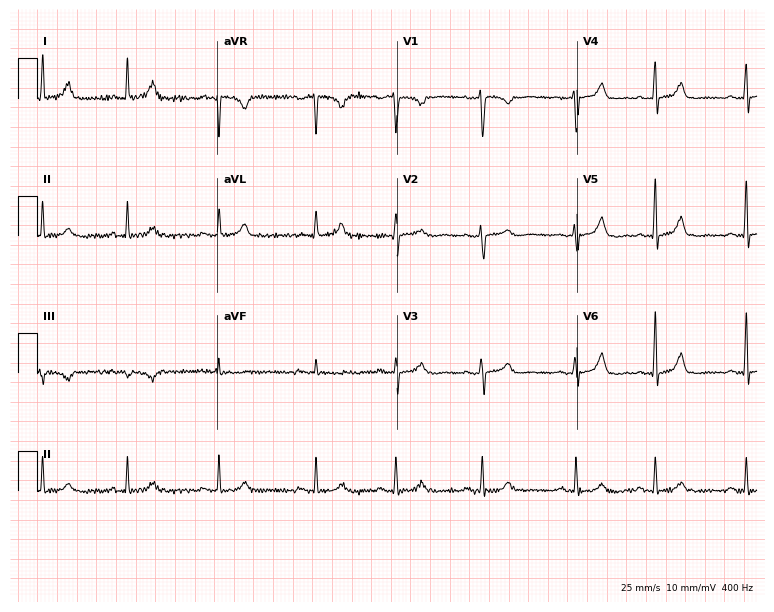
ECG (7.3-second recording at 400 Hz) — a 35-year-old woman. Screened for six findings — first-degree AV block, right bundle branch block (RBBB), left bundle branch block (LBBB), sinus bradycardia, atrial fibrillation (AF), sinus tachycardia — none is recorded. Findings outside these six are not listed.